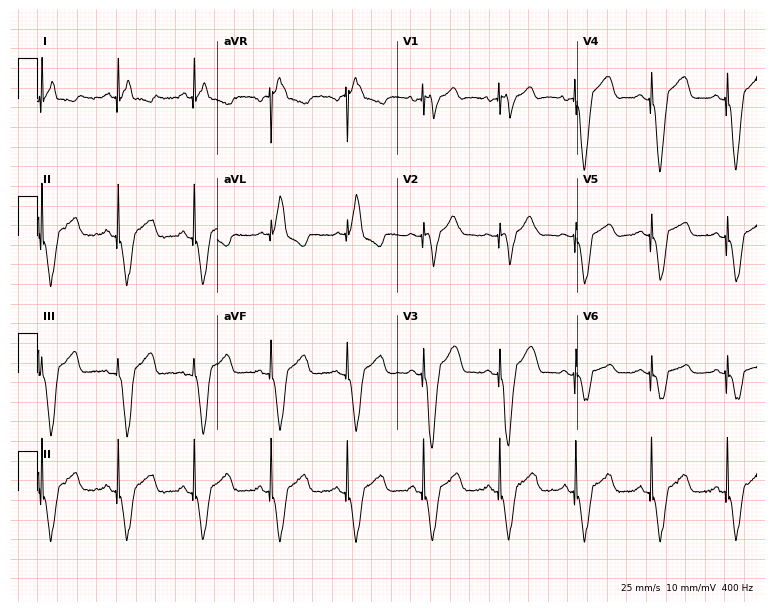
12-lead ECG from a man, 74 years old. No first-degree AV block, right bundle branch block, left bundle branch block, sinus bradycardia, atrial fibrillation or sinus tachycardia recorded for this tracing.